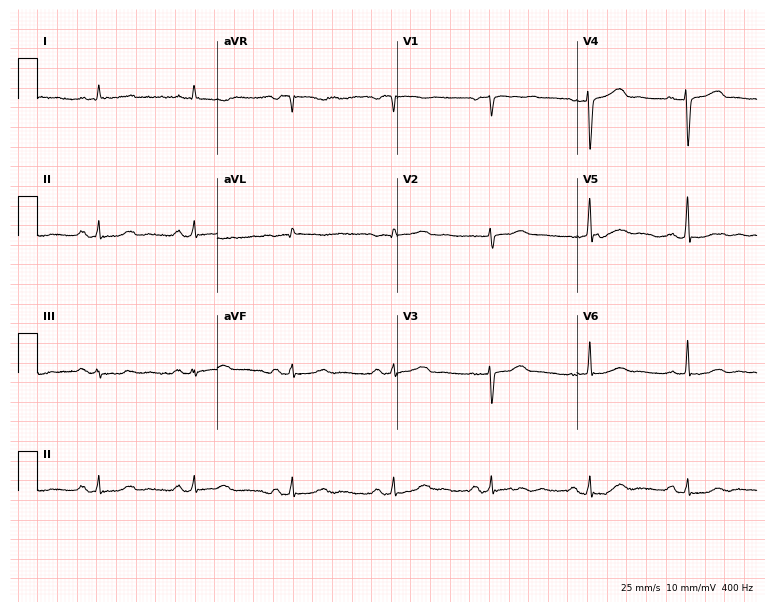
12-lead ECG from a female, 59 years old (7.3-second recording at 400 Hz). No first-degree AV block, right bundle branch block (RBBB), left bundle branch block (LBBB), sinus bradycardia, atrial fibrillation (AF) or sinus tachycardia recorded for this tracing. Other findings, if any, are not listed.